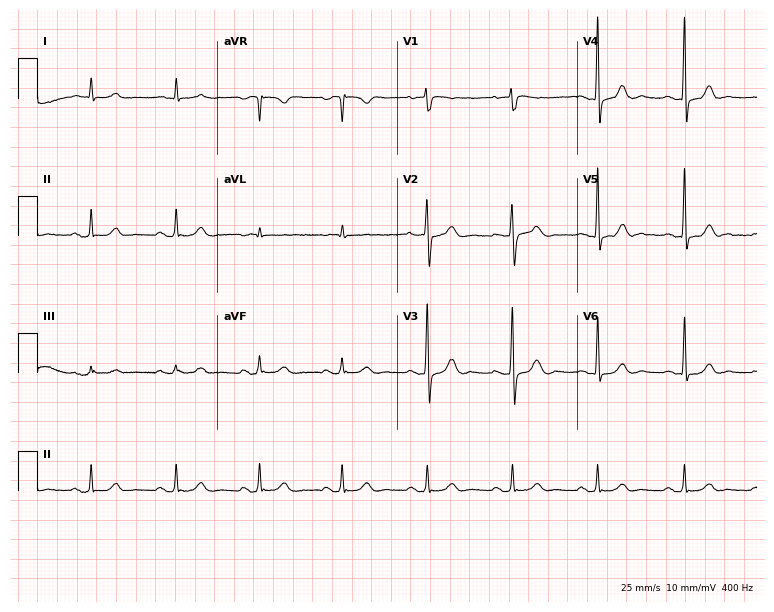
Electrocardiogram, a 64-year-old male patient. Overall reading on record: normal ECG.